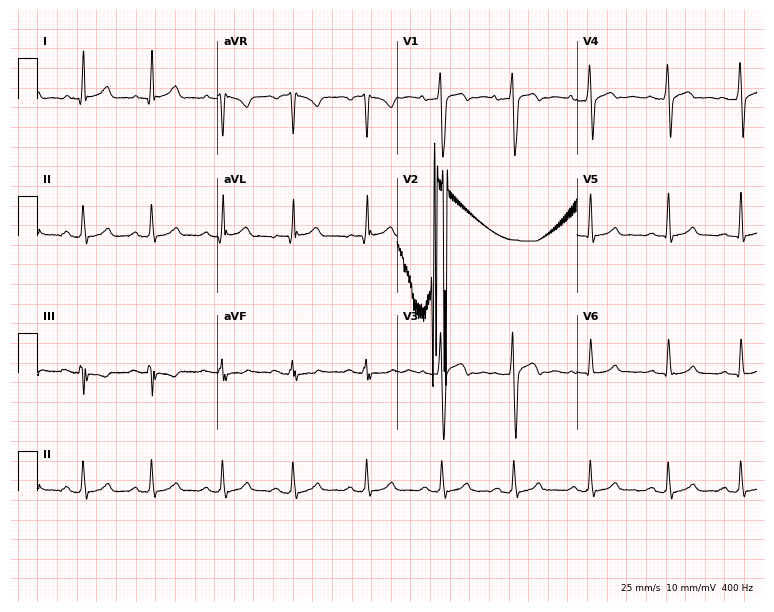
Electrocardiogram, a 21-year-old male patient. Of the six screened findings (first-degree AV block, right bundle branch block, left bundle branch block, sinus bradycardia, atrial fibrillation, sinus tachycardia), none is recorded.